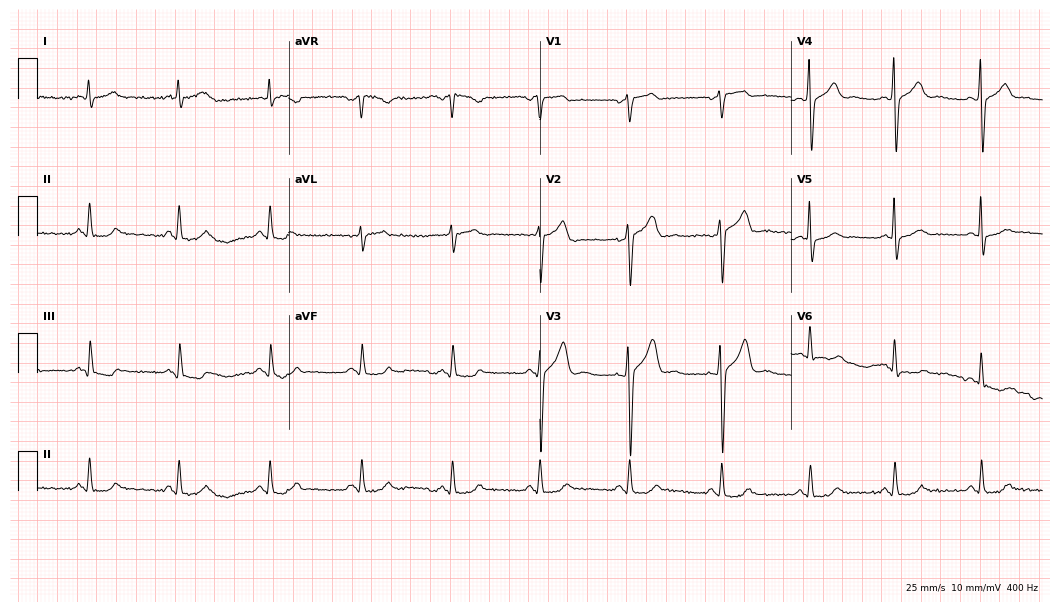
Electrocardiogram (10.2-second recording at 400 Hz), a male, 45 years old. Of the six screened findings (first-degree AV block, right bundle branch block, left bundle branch block, sinus bradycardia, atrial fibrillation, sinus tachycardia), none is recorded.